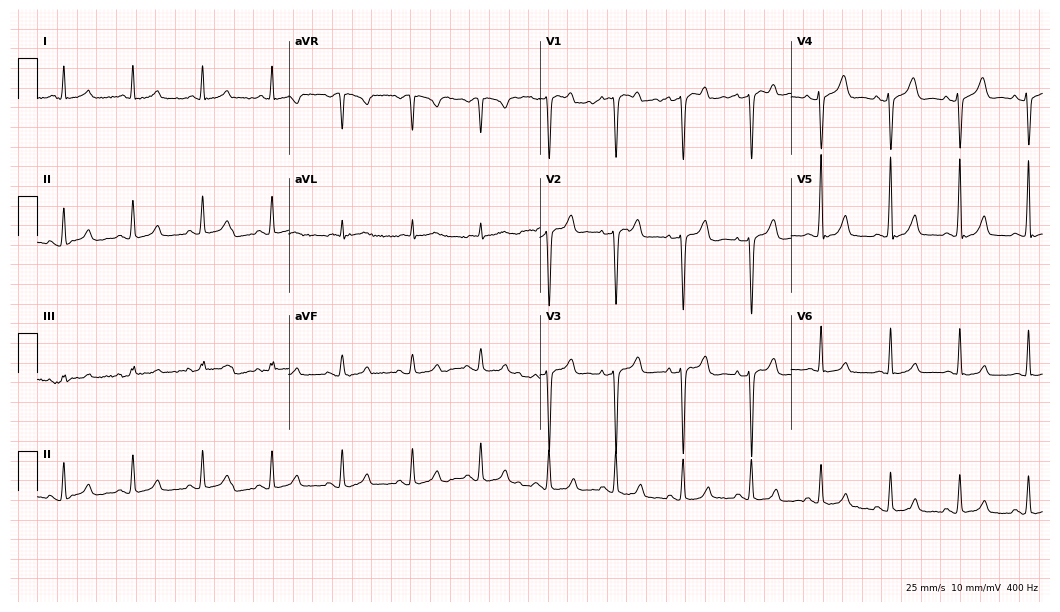
Resting 12-lead electrocardiogram (10.2-second recording at 400 Hz). Patient: a 46-year-old male. Read as a normal ECG.